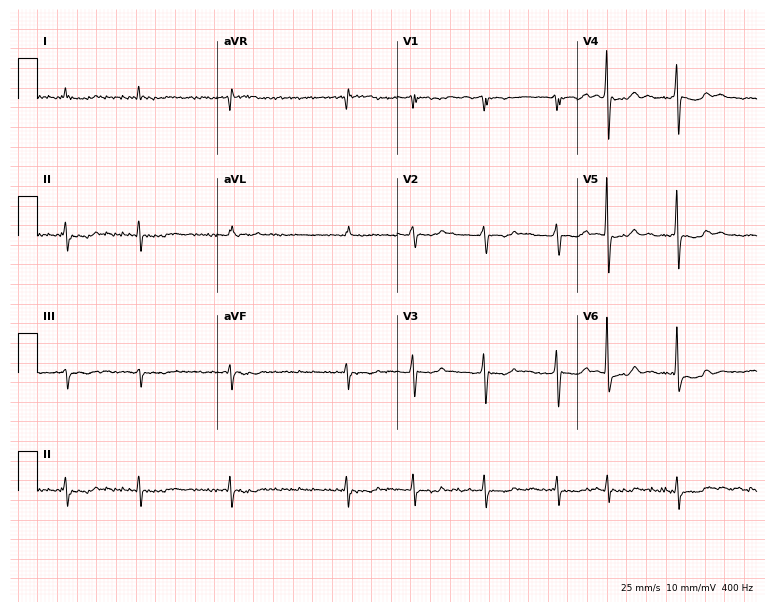
12-lead ECG from an 80-year-old male patient (7.3-second recording at 400 Hz). Shows atrial fibrillation (AF).